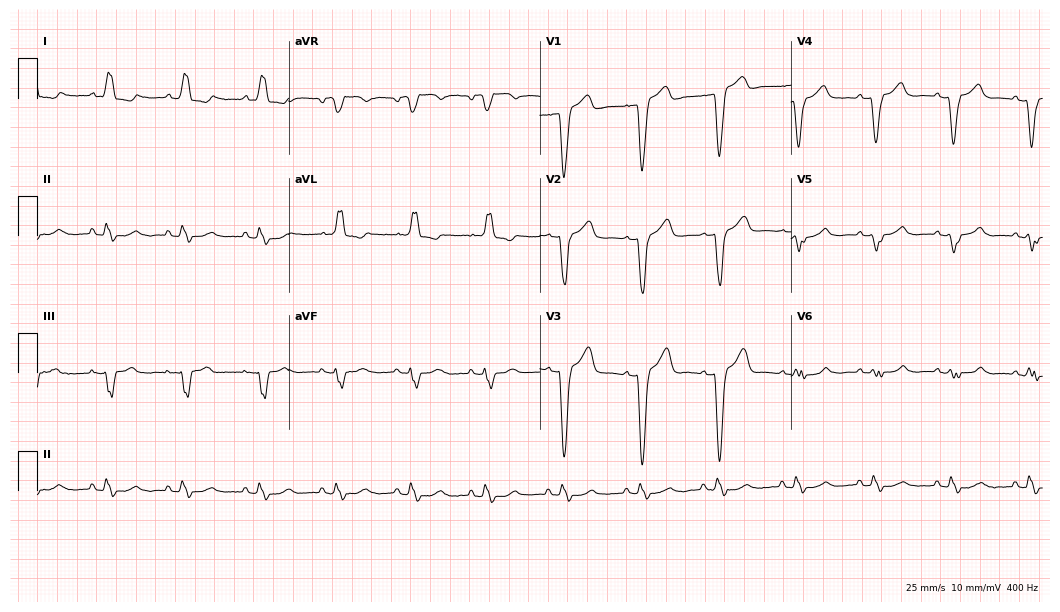
12-lead ECG from a 69-year-old female. Shows left bundle branch block.